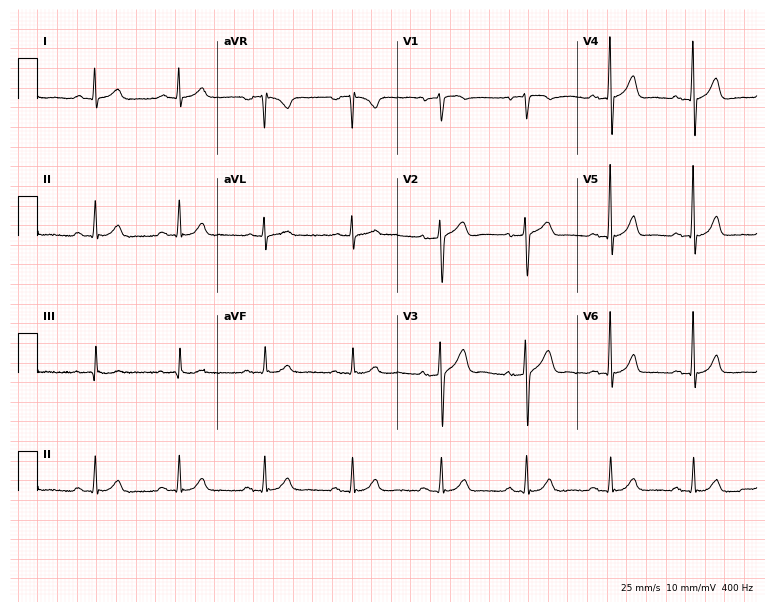
Resting 12-lead electrocardiogram. Patient: a 60-year-old male. Read as a normal ECG.